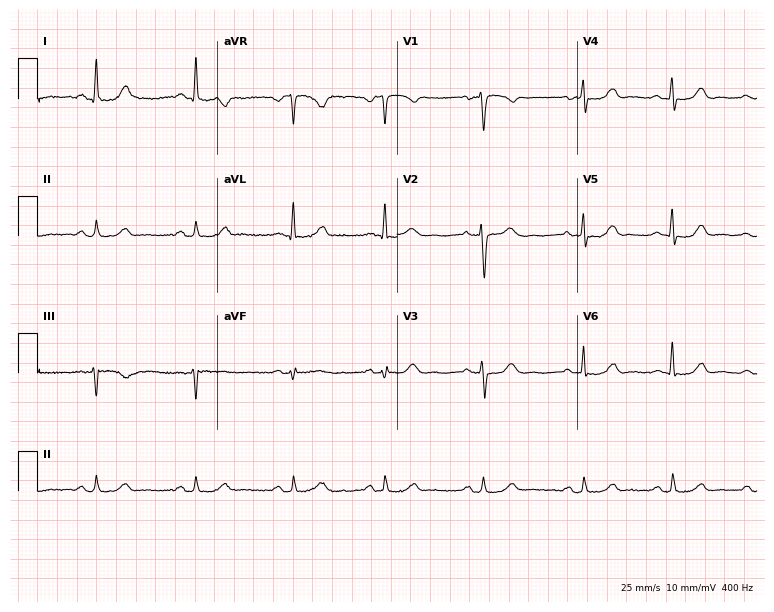
Electrocardiogram, a 55-year-old female. Overall reading on record: normal ECG.